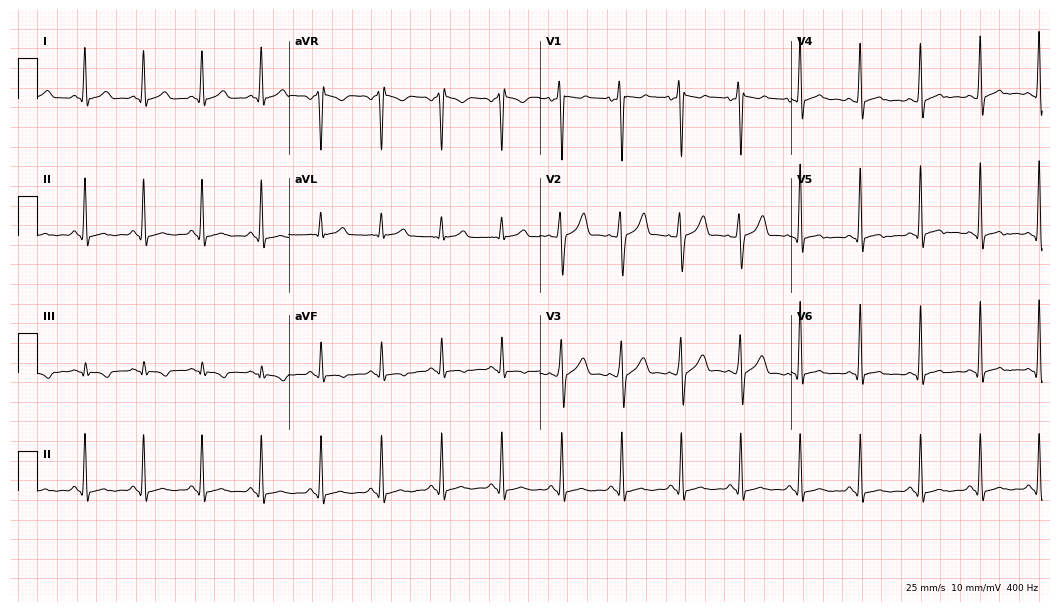
Standard 12-lead ECG recorded from a 37-year-old male. None of these six findings is recorded: first-degree AV block, right bundle branch block (RBBB), left bundle branch block (LBBB), sinus bradycardia, atrial fibrillation (AF), sinus tachycardia. Only these six findings were labelled.